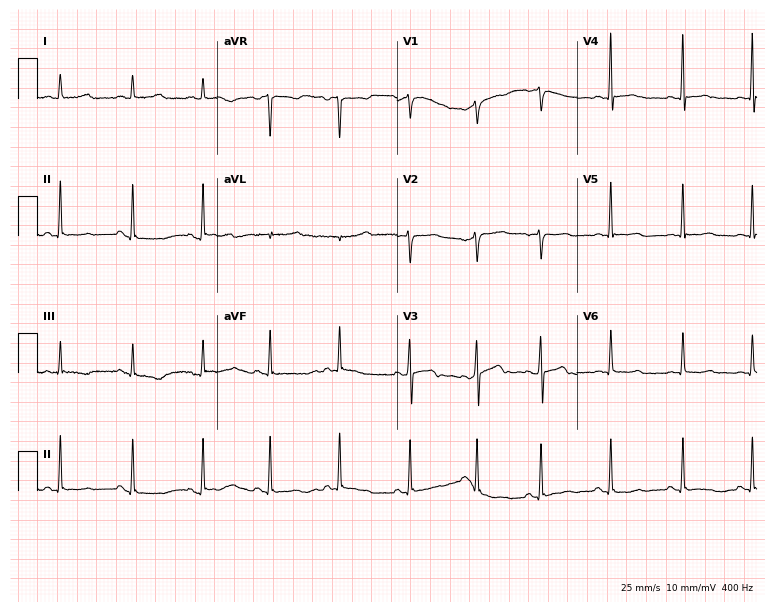
12-lead ECG from a female patient, 33 years old. Recorded interpretation: within normal limits.